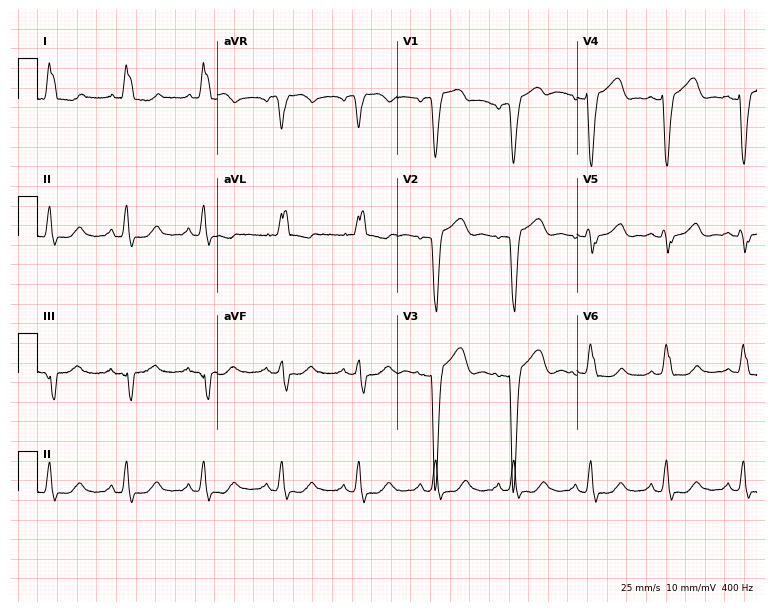
12-lead ECG from a female, 68 years old. Screened for six findings — first-degree AV block, right bundle branch block, left bundle branch block, sinus bradycardia, atrial fibrillation, sinus tachycardia — none is recorded. Other findings, if any, are not listed.